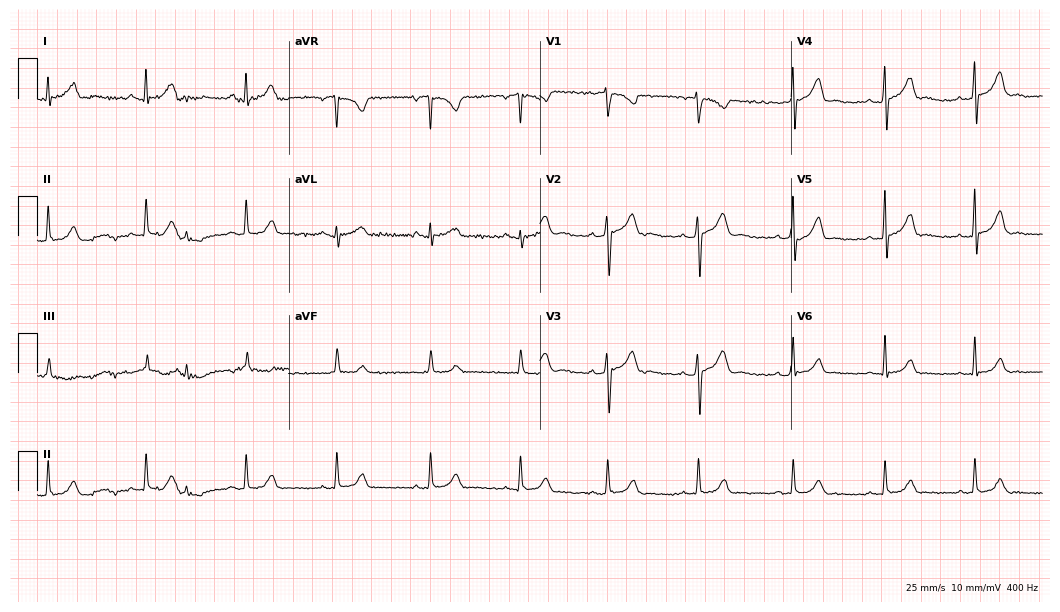
12-lead ECG from a 21-year-old female patient. Recorded interpretation: within normal limits.